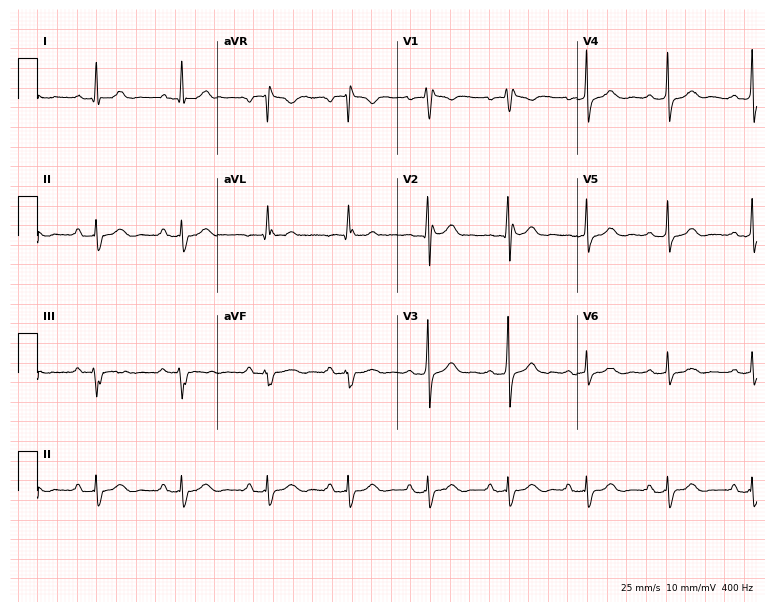
12-lead ECG from a male, 41 years old. No first-degree AV block, right bundle branch block, left bundle branch block, sinus bradycardia, atrial fibrillation or sinus tachycardia recorded for this tracing.